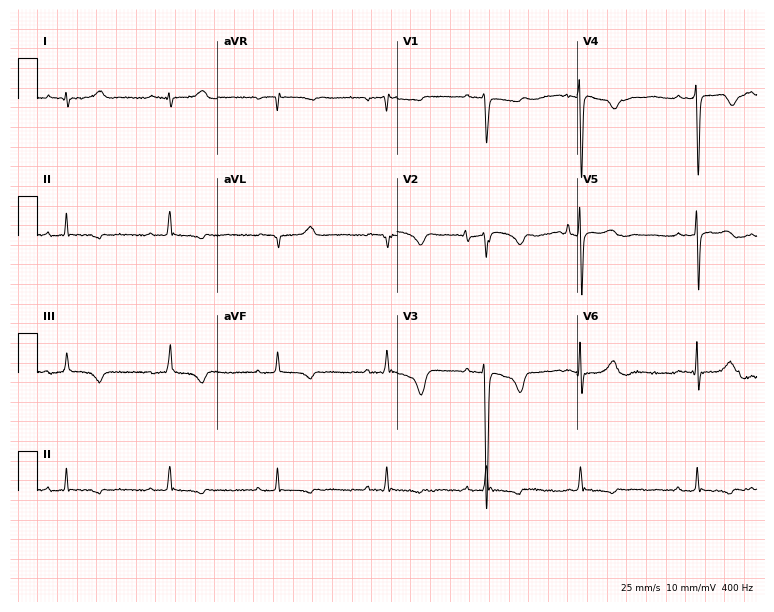
Resting 12-lead electrocardiogram. Patient: a female, 70 years old. None of these six findings is recorded: first-degree AV block, right bundle branch block (RBBB), left bundle branch block (LBBB), sinus bradycardia, atrial fibrillation (AF), sinus tachycardia. Only these six findings were labelled.